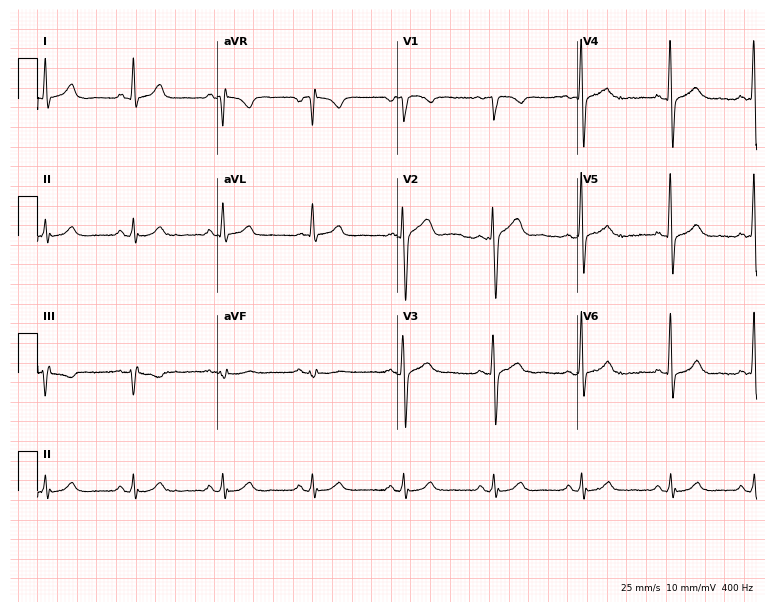
Standard 12-lead ECG recorded from a 52-year-old male (7.3-second recording at 400 Hz). Read as a normal ECG.